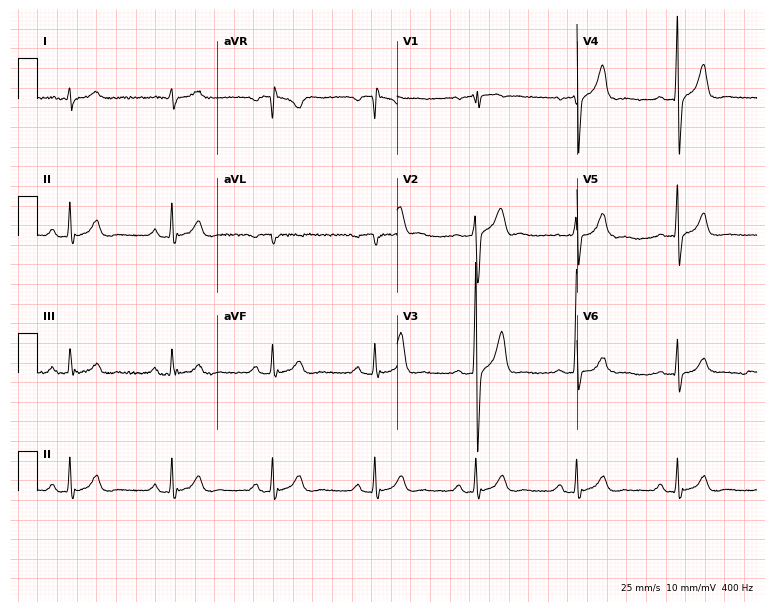
ECG — a 54-year-old male patient. Labelled as a normal ECG.